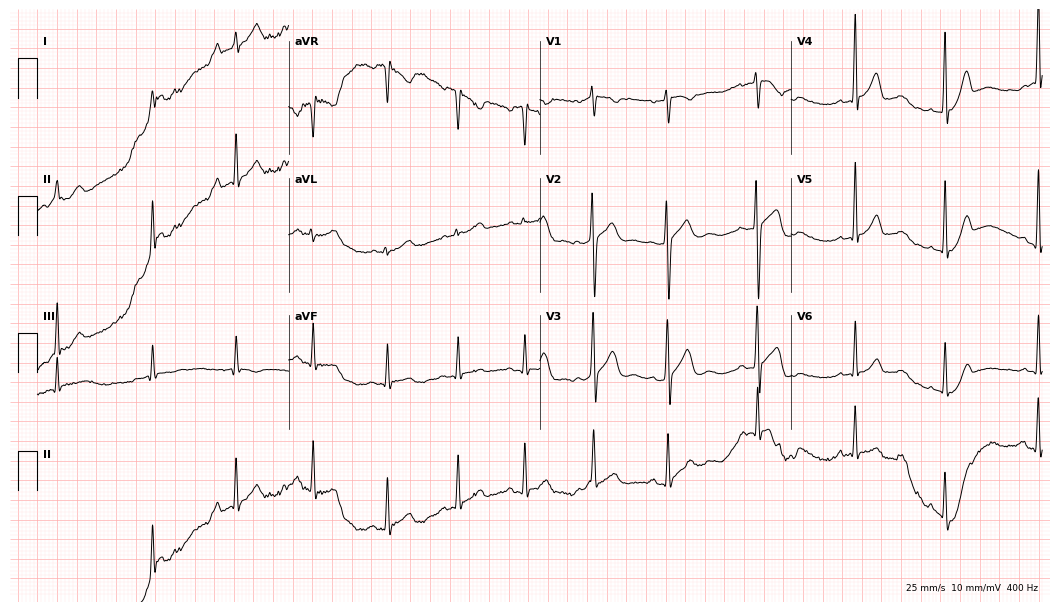
Standard 12-lead ECG recorded from a 24-year-old male patient. Read as a normal ECG.